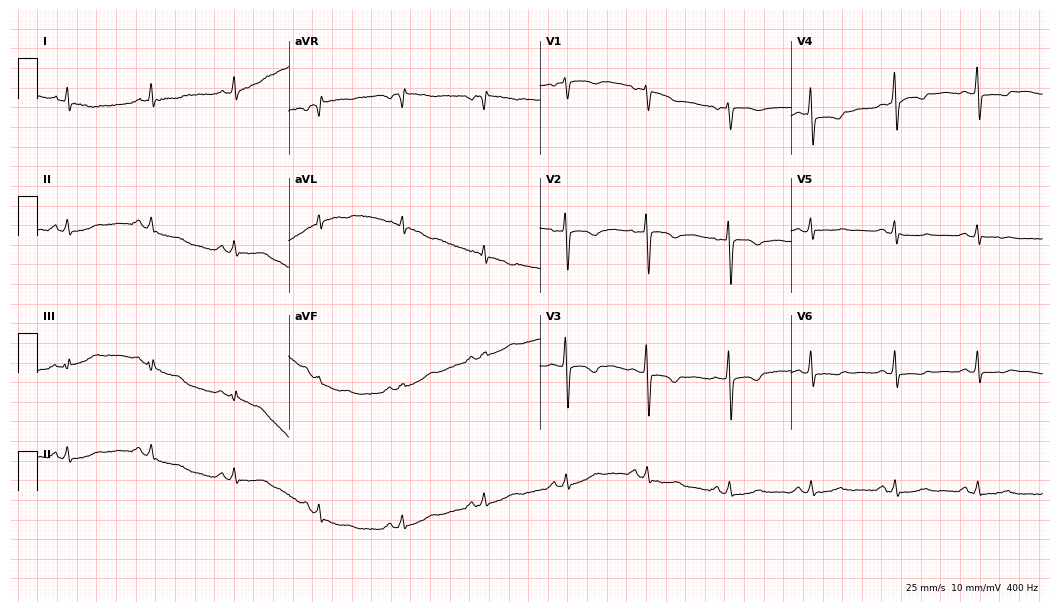
12-lead ECG from a 54-year-old woman (10.2-second recording at 400 Hz). No first-degree AV block, right bundle branch block, left bundle branch block, sinus bradycardia, atrial fibrillation or sinus tachycardia recorded for this tracing. Other findings, if any, are not listed.